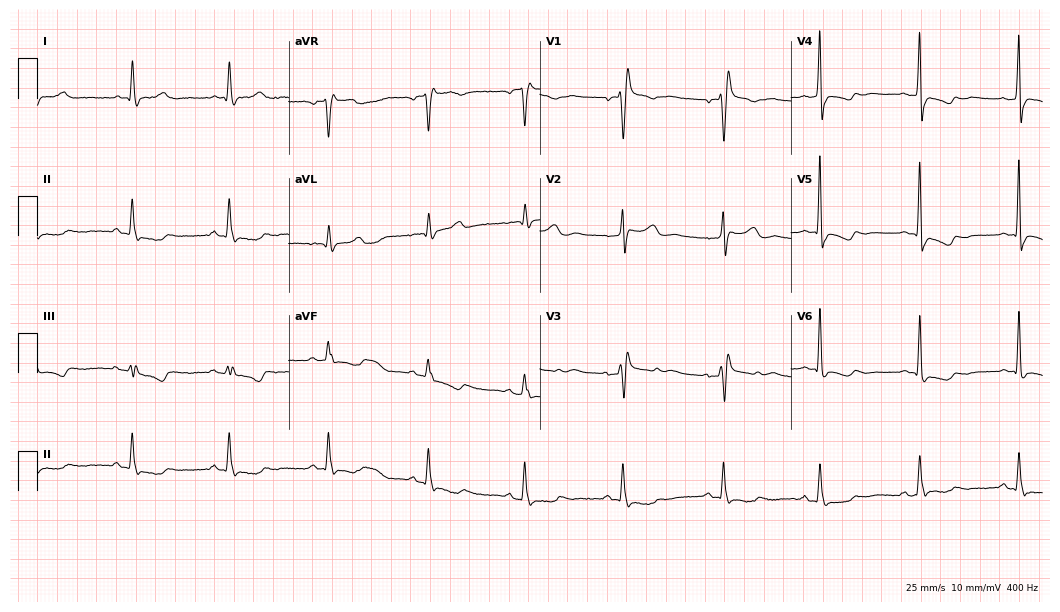
Electrocardiogram (10.2-second recording at 400 Hz), a female patient, 83 years old. Interpretation includes right bundle branch block (RBBB).